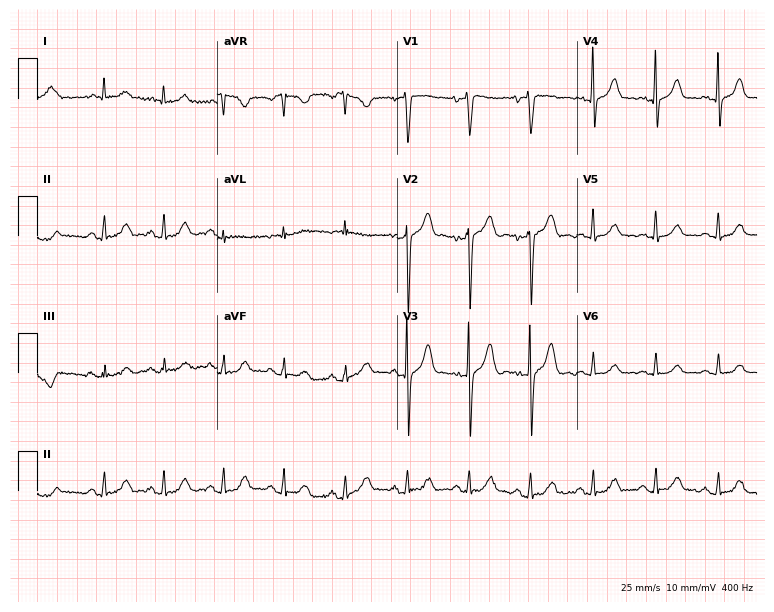
Electrocardiogram, a 72-year-old male. Of the six screened findings (first-degree AV block, right bundle branch block (RBBB), left bundle branch block (LBBB), sinus bradycardia, atrial fibrillation (AF), sinus tachycardia), none is recorded.